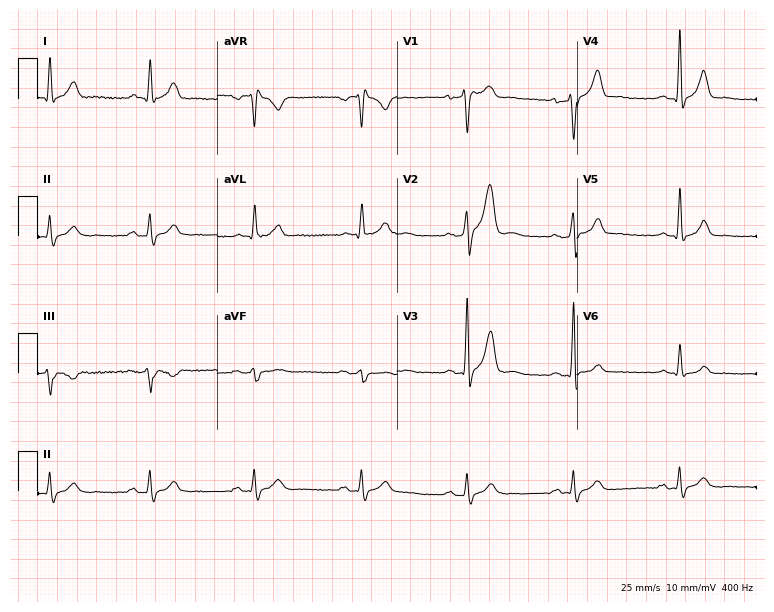
Electrocardiogram (7.3-second recording at 400 Hz), a 50-year-old man. Of the six screened findings (first-degree AV block, right bundle branch block, left bundle branch block, sinus bradycardia, atrial fibrillation, sinus tachycardia), none is recorded. Only these six findings were labelled.